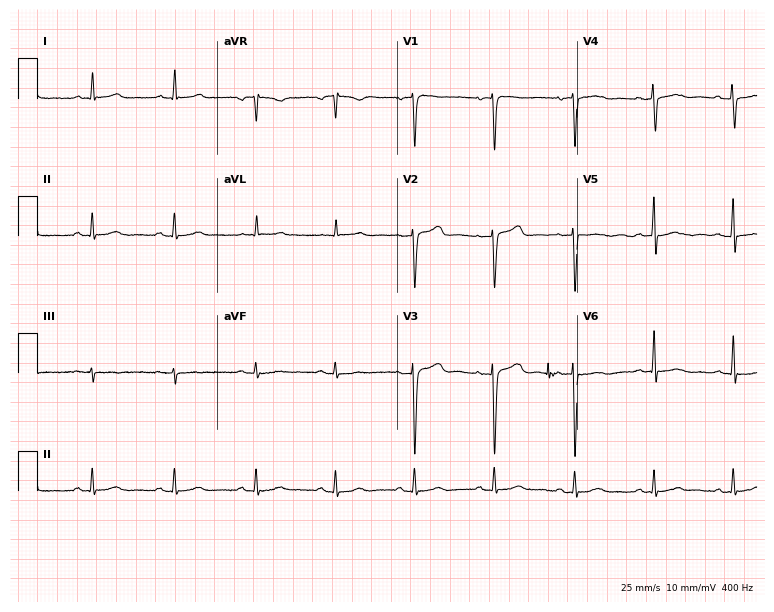
Resting 12-lead electrocardiogram. Patient: a 55-year-old male. Read as a normal ECG.